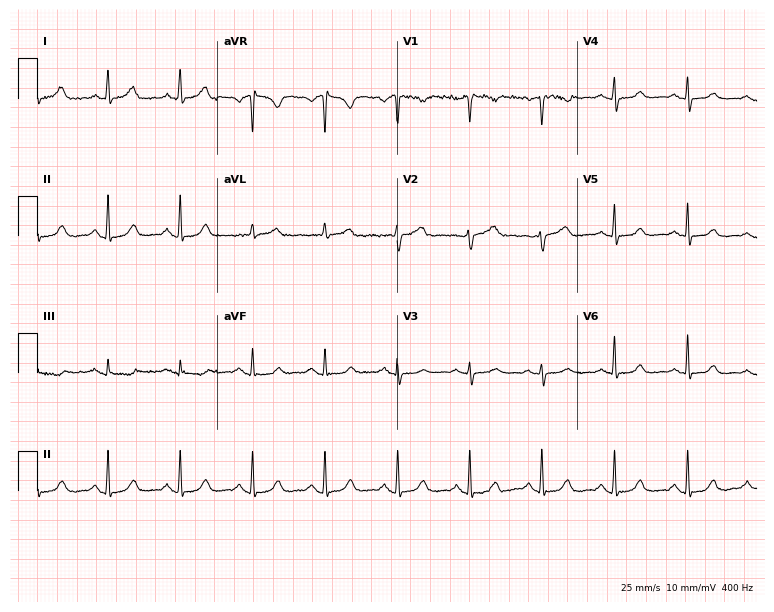
12-lead ECG from a female patient, 64 years old. Recorded interpretation: within normal limits.